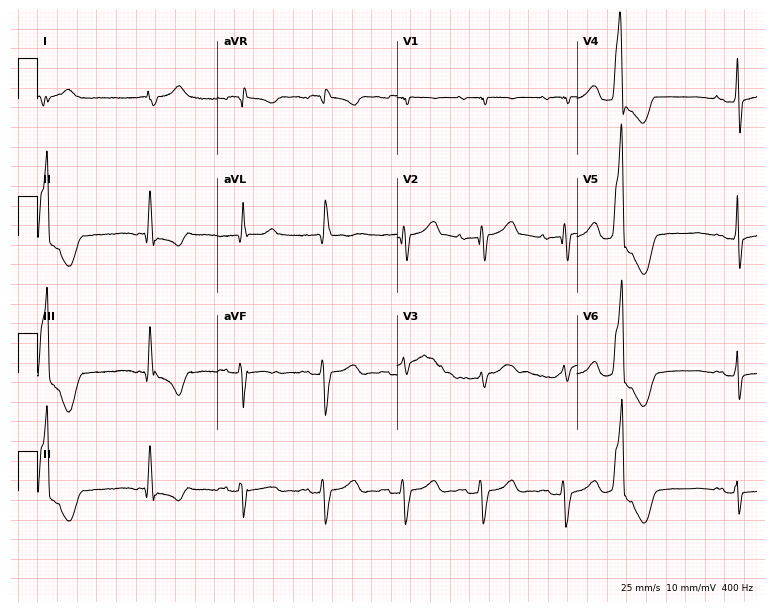
12-lead ECG from a male patient, 74 years old. No first-degree AV block, right bundle branch block, left bundle branch block, sinus bradycardia, atrial fibrillation or sinus tachycardia recorded for this tracing.